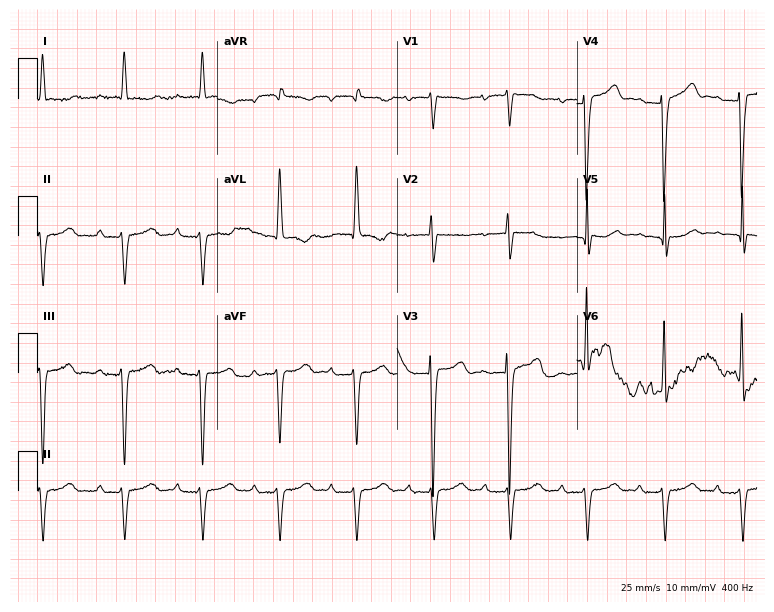
12-lead ECG from an 84-year-old female. Shows first-degree AV block.